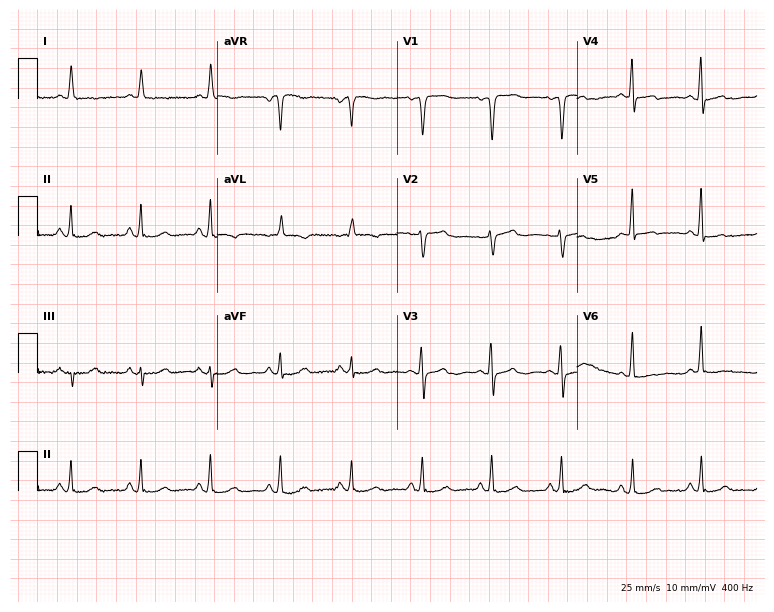
Resting 12-lead electrocardiogram. Patient: a 72-year-old female. None of these six findings is recorded: first-degree AV block, right bundle branch block, left bundle branch block, sinus bradycardia, atrial fibrillation, sinus tachycardia. Other findings, if any, are not listed.